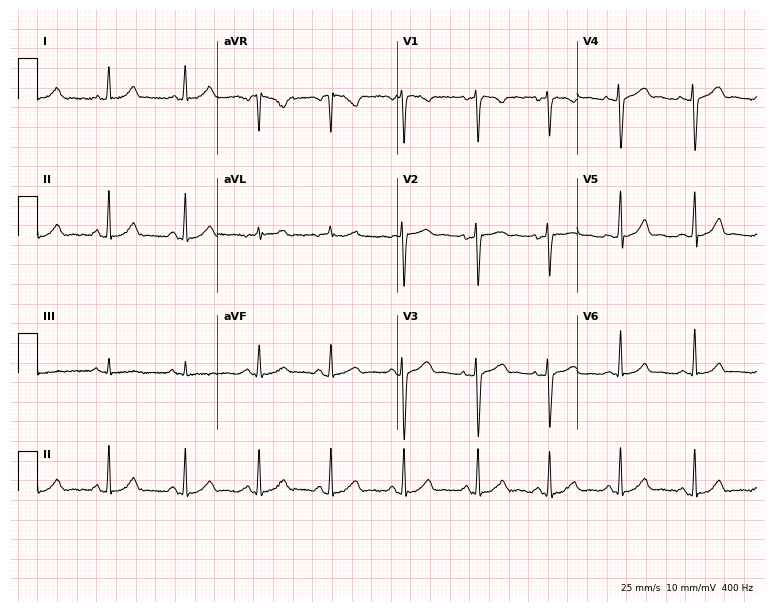
12-lead ECG from a 43-year-old female. Labelled as a normal ECG.